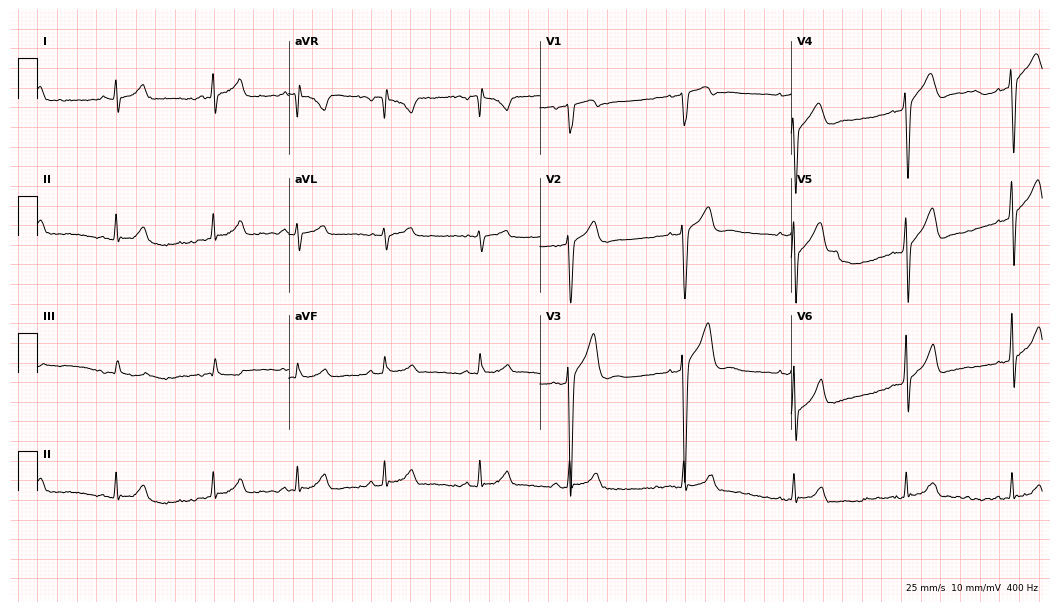
Resting 12-lead electrocardiogram (10.2-second recording at 400 Hz). Patient: a male, 23 years old. Read as a normal ECG.